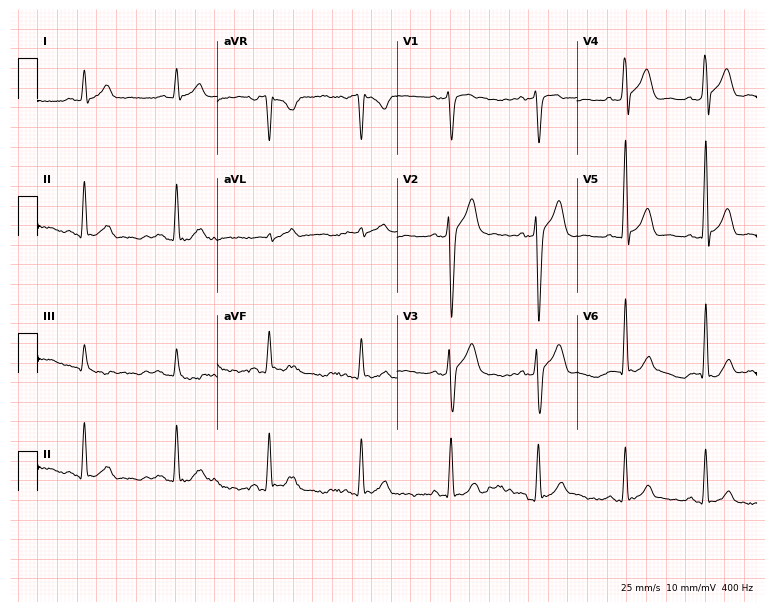
Electrocardiogram (7.3-second recording at 400 Hz), a male, 45 years old. Of the six screened findings (first-degree AV block, right bundle branch block, left bundle branch block, sinus bradycardia, atrial fibrillation, sinus tachycardia), none is recorded. Findings outside these six are not listed.